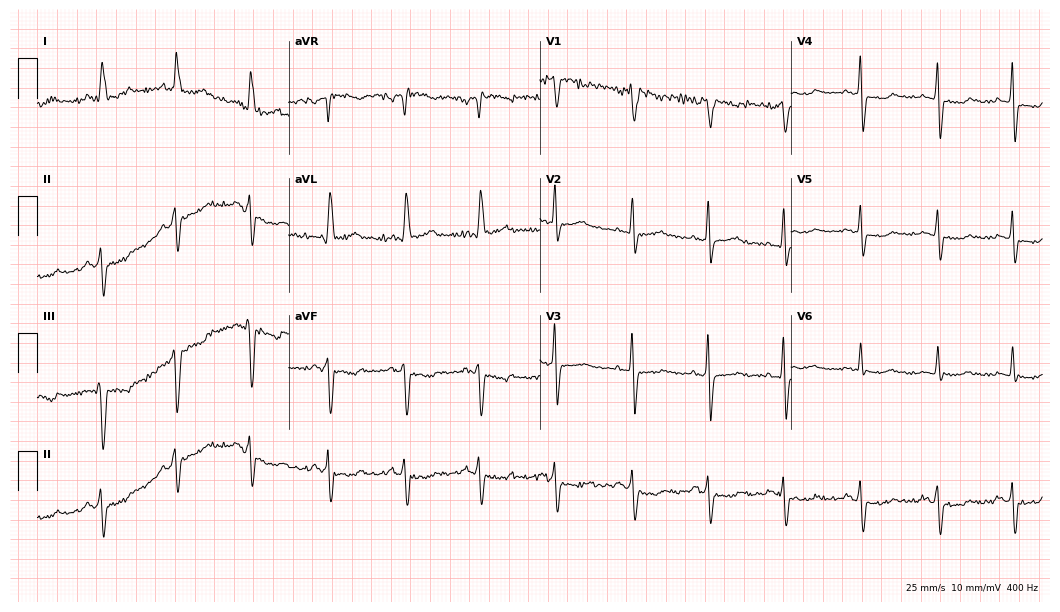
12-lead ECG from a female patient, 48 years old. No first-degree AV block, right bundle branch block, left bundle branch block, sinus bradycardia, atrial fibrillation or sinus tachycardia recorded for this tracing.